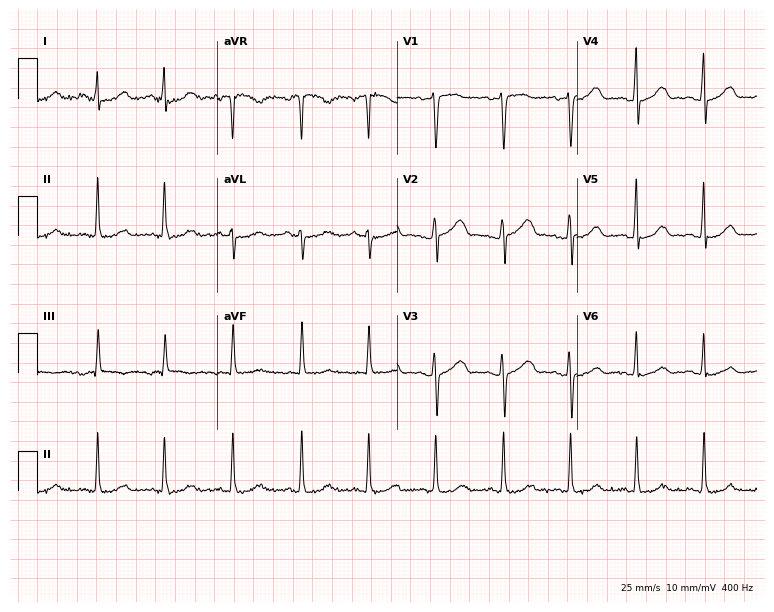
12-lead ECG (7.3-second recording at 400 Hz) from a 44-year-old female. Labelled as a normal ECG.